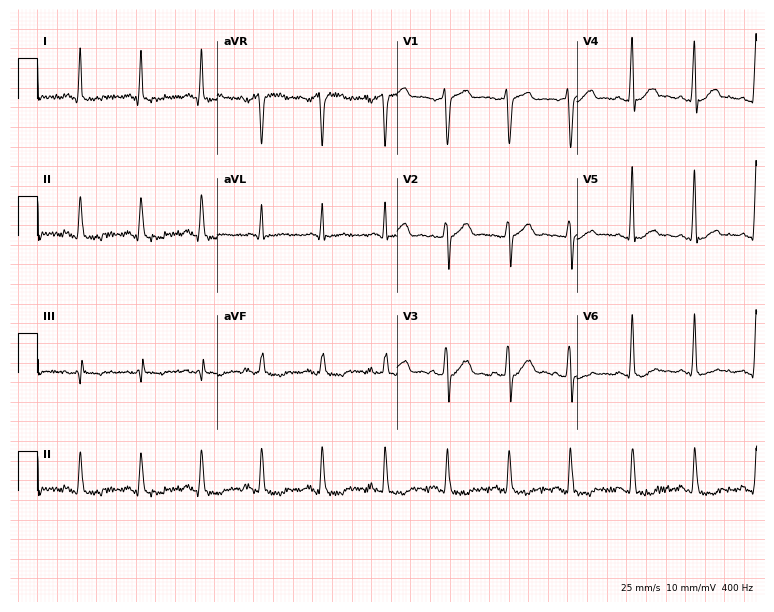
Standard 12-lead ECG recorded from a man, 35 years old (7.3-second recording at 400 Hz). None of these six findings is recorded: first-degree AV block, right bundle branch block, left bundle branch block, sinus bradycardia, atrial fibrillation, sinus tachycardia. Only these six findings were labelled.